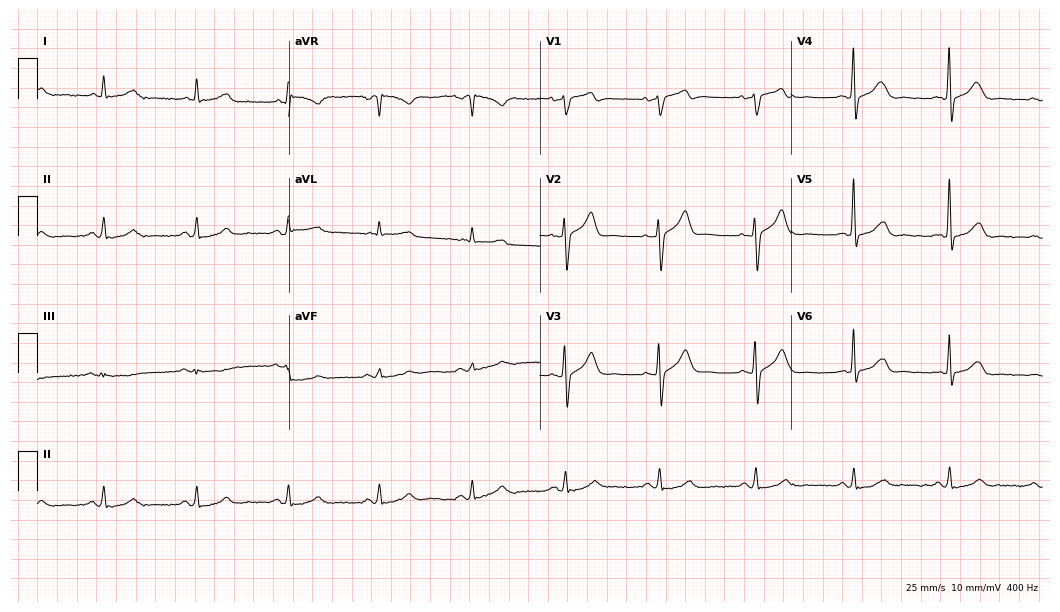
ECG (10.2-second recording at 400 Hz) — a man, 75 years old. Labelled as a normal ECG.